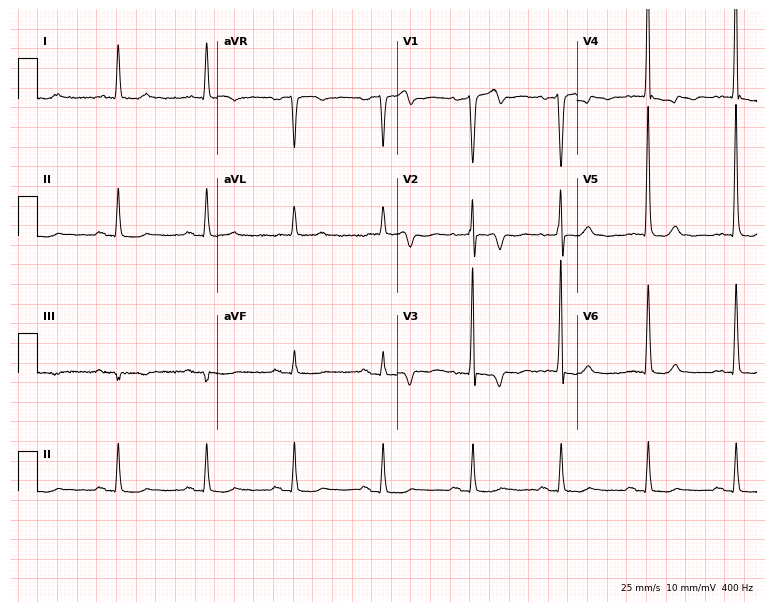
12-lead ECG (7.3-second recording at 400 Hz) from an 82-year-old male. Screened for six findings — first-degree AV block, right bundle branch block, left bundle branch block, sinus bradycardia, atrial fibrillation, sinus tachycardia — none is recorded. Other findings, if any, are not listed.